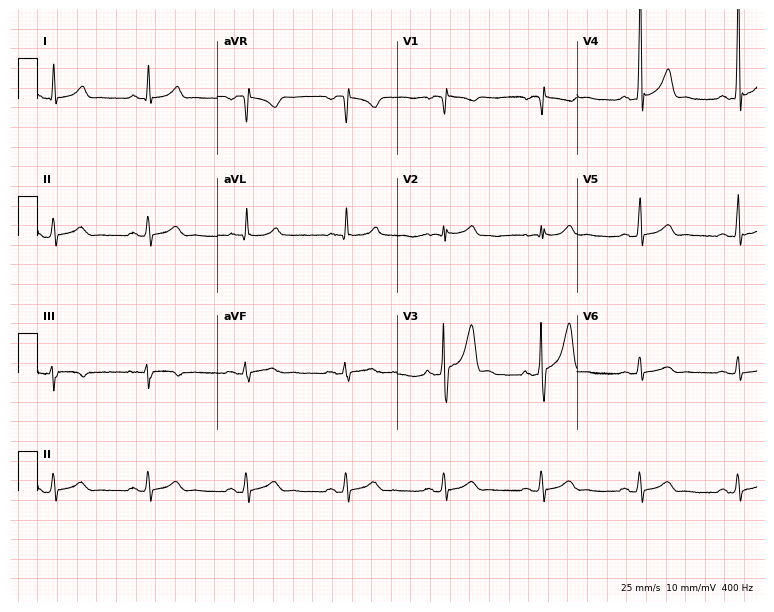
12-lead ECG from a 57-year-old male patient. Labelled as a normal ECG.